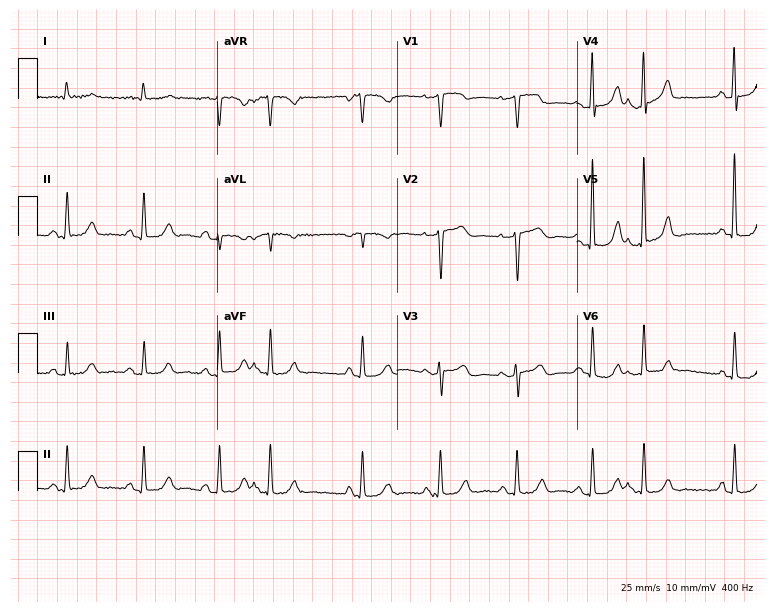
Standard 12-lead ECG recorded from a 70-year-old female (7.3-second recording at 400 Hz). None of these six findings is recorded: first-degree AV block, right bundle branch block, left bundle branch block, sinus bradycardia, atrial fibrillation, sinus tachycardia.